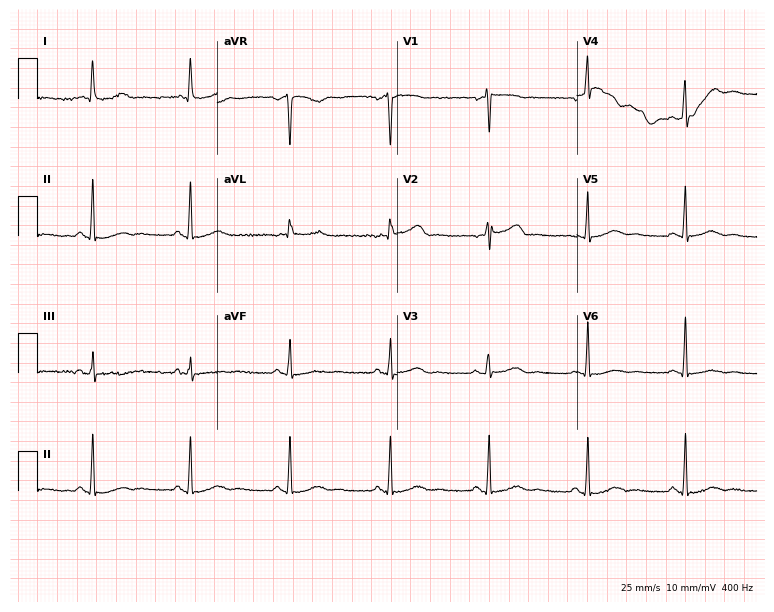
Standard 12-lead ECG recorded from a 60-year-old female patient. None of these six findings is recorded: first-degree AV block, right bundle branch block, left bundle branch block, sinus bradycardia, atrial fibrillation, sinus tachycardia. Findings outside these six are not listed.